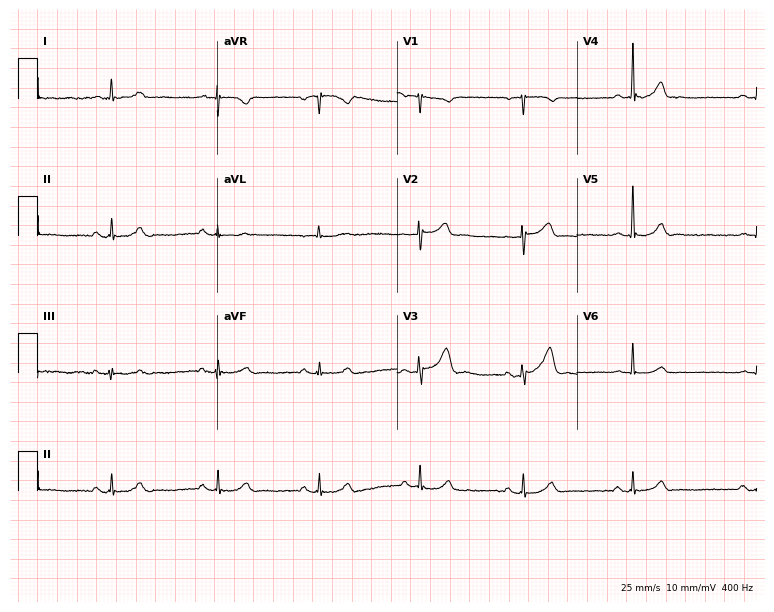
12-lead ECG from a 73-year-old male. Recorded interpretation: within normal limits.